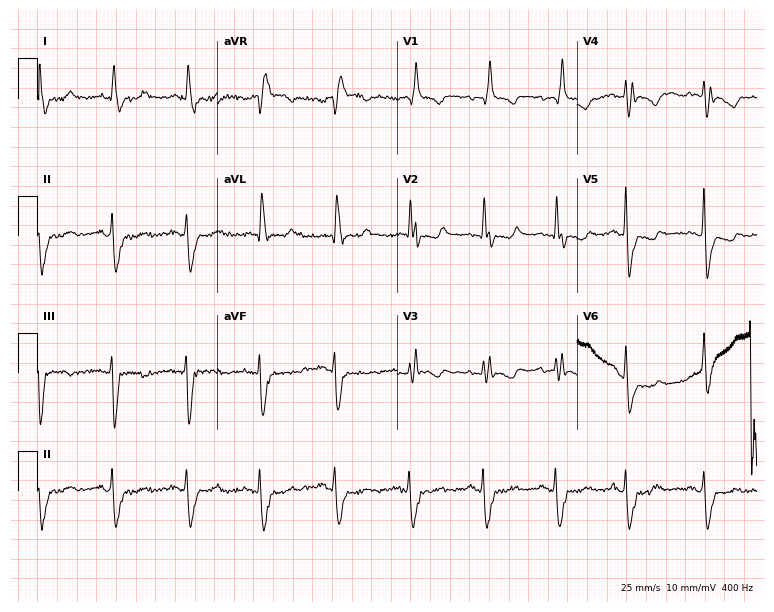
Electrocardiogram, a 73-year-old female patient. Interpretation includes right bundle branch block (RBBB).